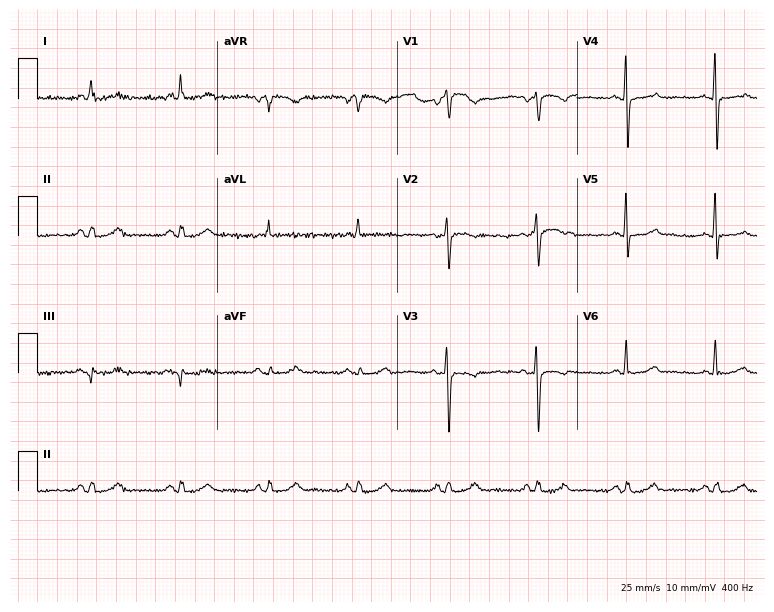
Resting 12-lead electrocardiogram (7.3-second recording at 400 Hz). Patient: a 56-year-old woman. None of these six findings is recorded: first-degree AV block, right bundle branch block, left bundle branch block, sinus bradycardia, atrial fibrillation, sinus tachycardia. Only these six findings were labelled.